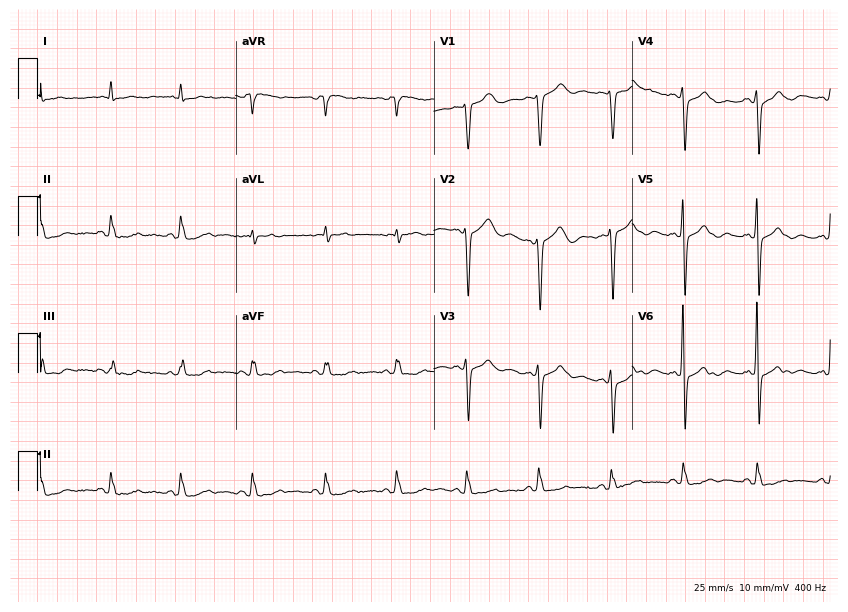
12-lead ECG from a female patient, 78 years old. Labelled as a normal ECG.